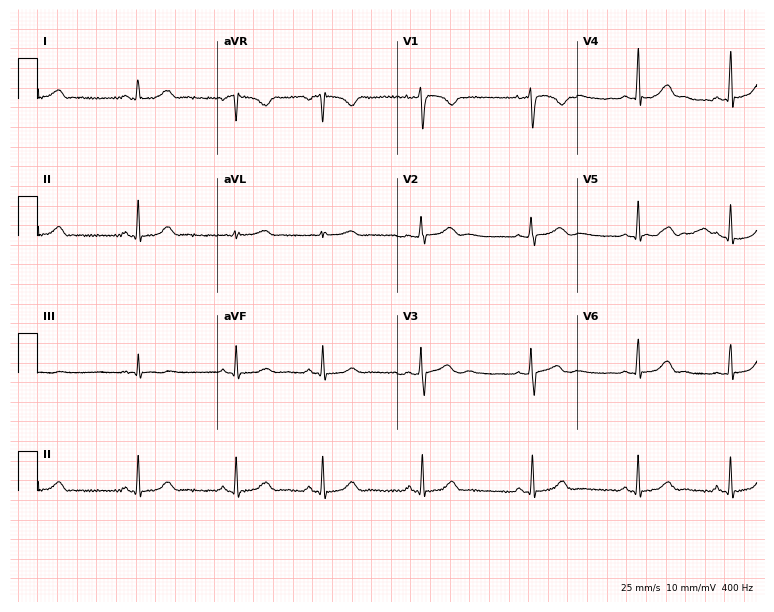
ECG (7.3-second recording at 400 Hz) — a female, 22 years old. Labelled as a normal ECG.